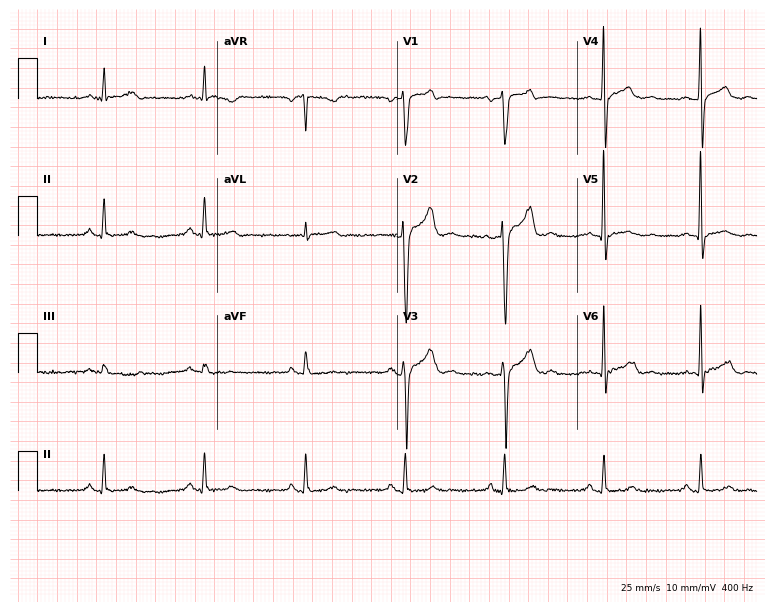
12-lead ECG from a male patient, 39 years old (7.3-second recording at 400 Hz). No first-degree AV block, right bundle branch block, left bundle branch block, sinus bradycardia, atrial fibrillation or sinus tachycardia recorded for this tracing.